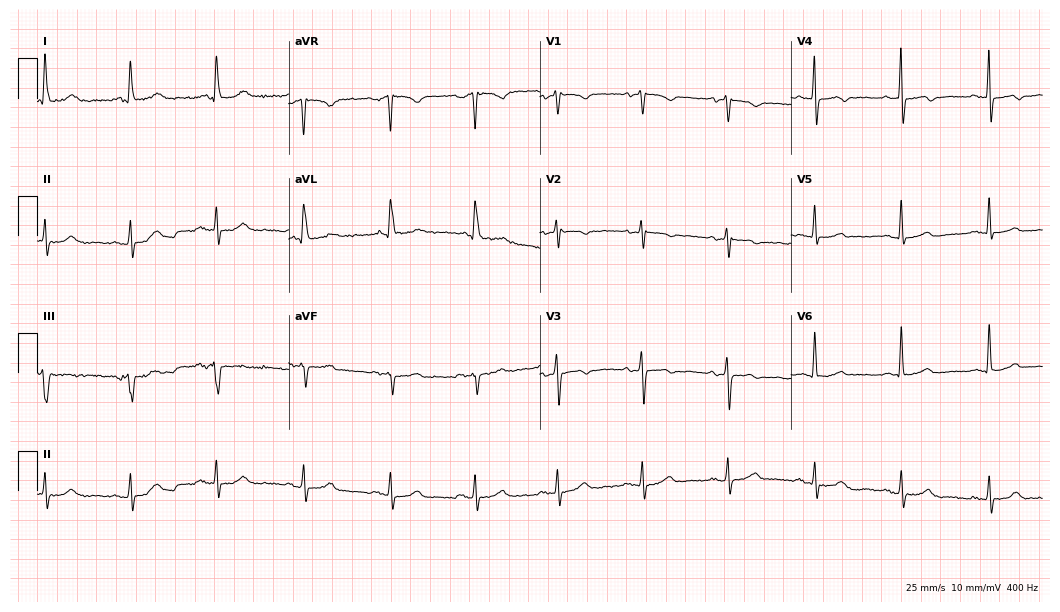
12-lead ECG (10.2-second recording at 400 Hz) from a 76-year-old female. Screened for six findings — first-degree AV block, right bundle branch block (RBBB), left bundle branch block (LBBB), sinus bradycardia, atrial fibrillation (AF), sinus tachycardia — none is recorded. Findings outside these six are not listed.